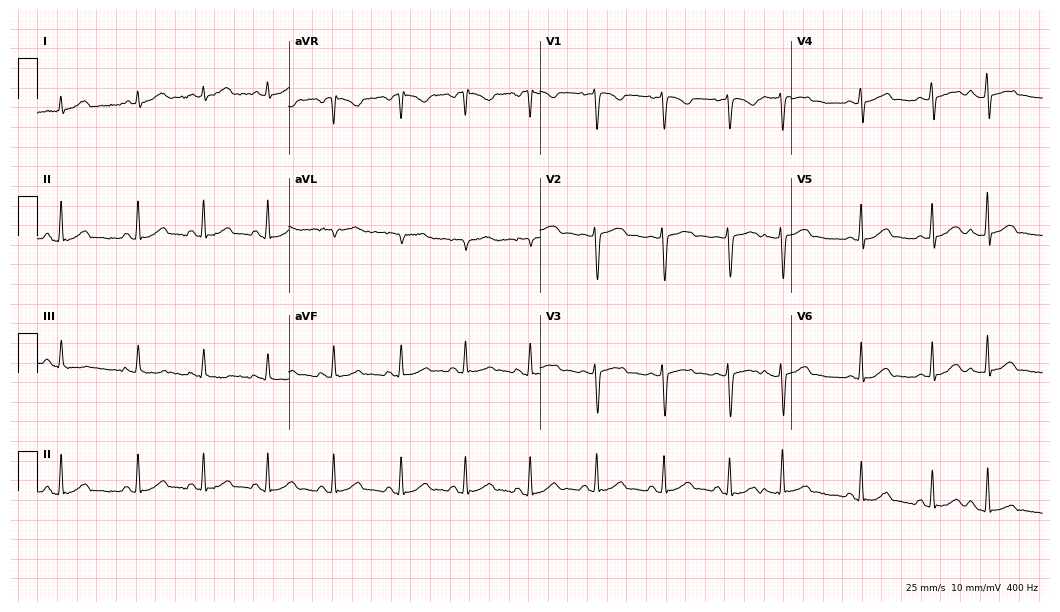
Electrocardiogram, a 29-year-old female patient. Overall reading on record: normal ECG.